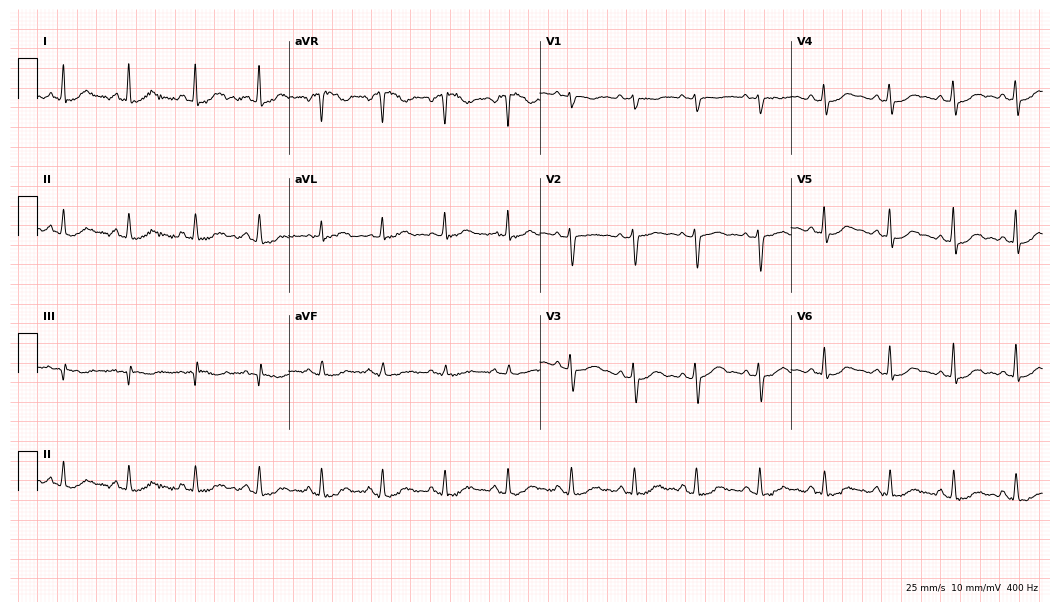
12-lead ECG from a female patient, 48 years old (10.2-second recording at 400 Hz). Recorded interpretation: within normal limits.